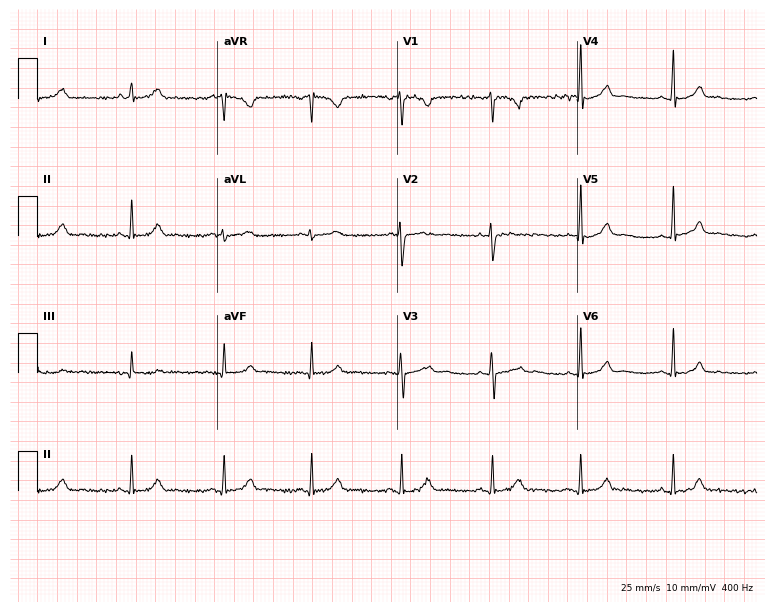
Electrocardiogram, a 26-year-old female. Of the six screened findings (first-degree AV block, right bundle branch block, left bundle branch block, sinus bradycardia, atrial fibrillation, sinus tachycardia), none is recorded.